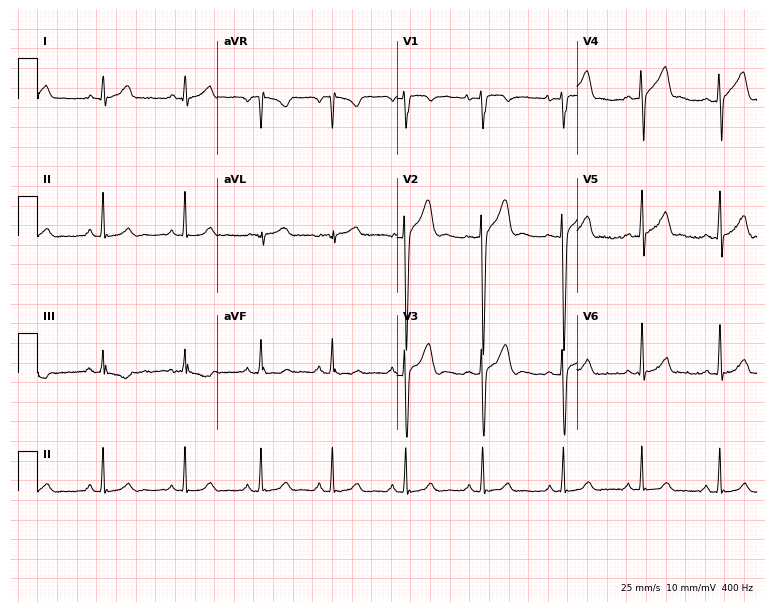
ECG — a 17-year-old man. Labelled as a normal ECG.